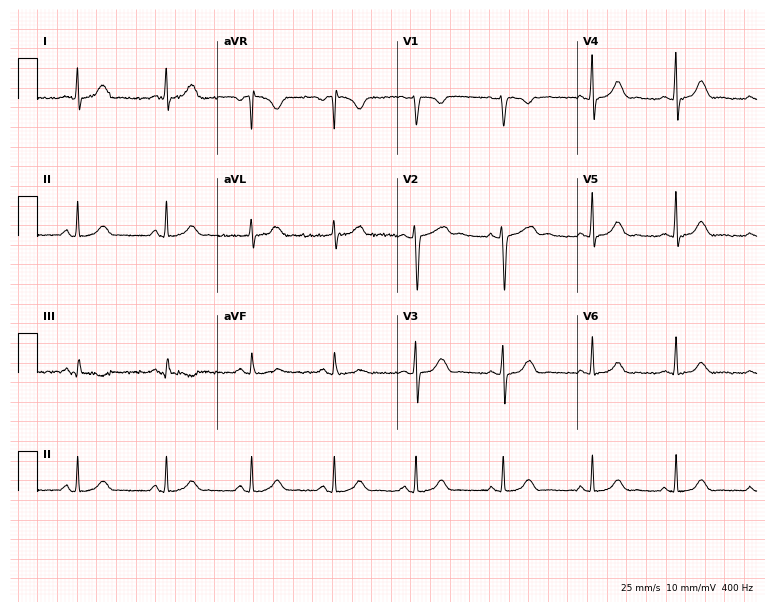
Standard 12-lead ECG recorded from a 36-year-old woman. None of these six findings is recorded: first-degree AV block, right bundle branch block, left bundle branch block, sinus bradycardia, atrial fibrillation, sinus tachycardia. Only these six findings were labelled.